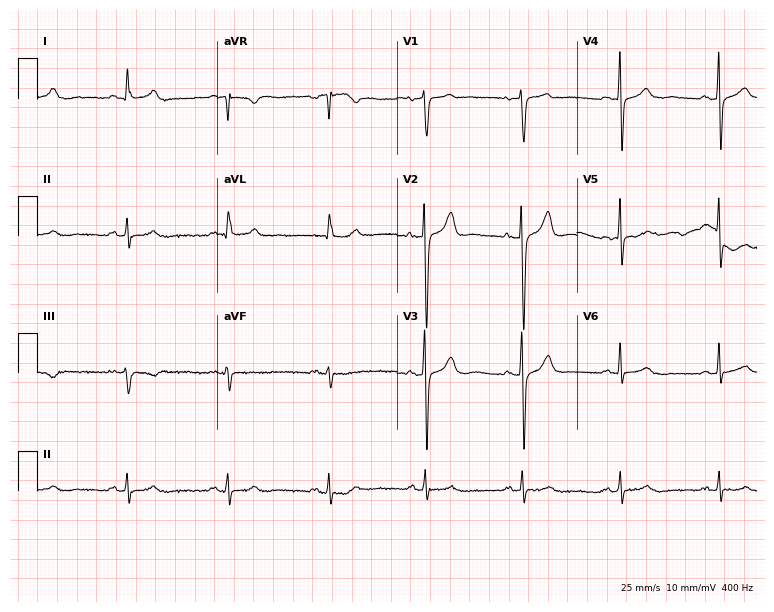
12-lead ECG from a male, 55 years old. Recorded interpretation: within normal limits.